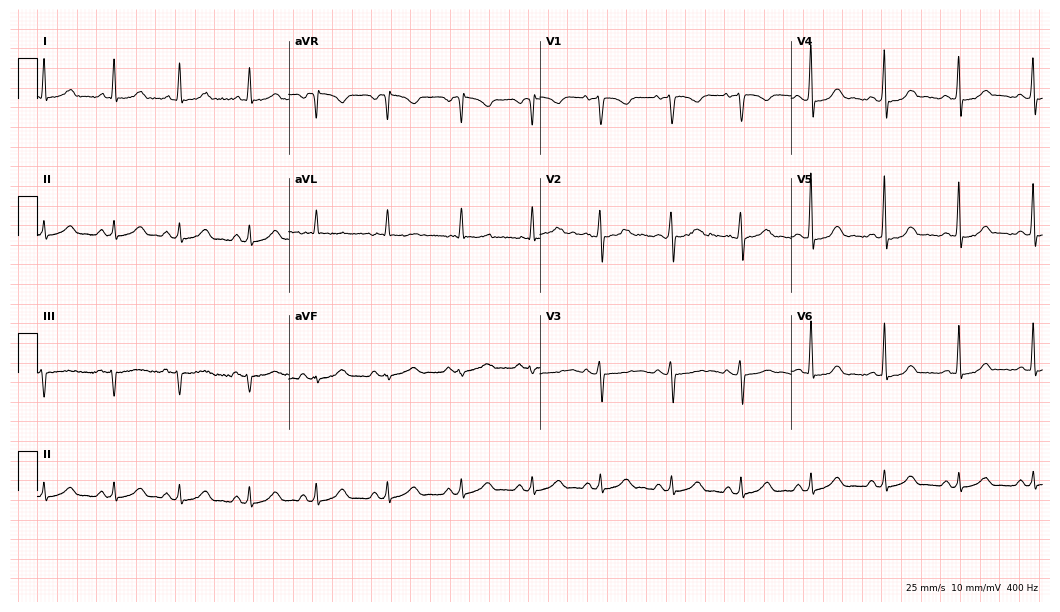
Resting 12-lead electrocardiogram. Patient: a 54-year-old female. Read as a normal ECG.